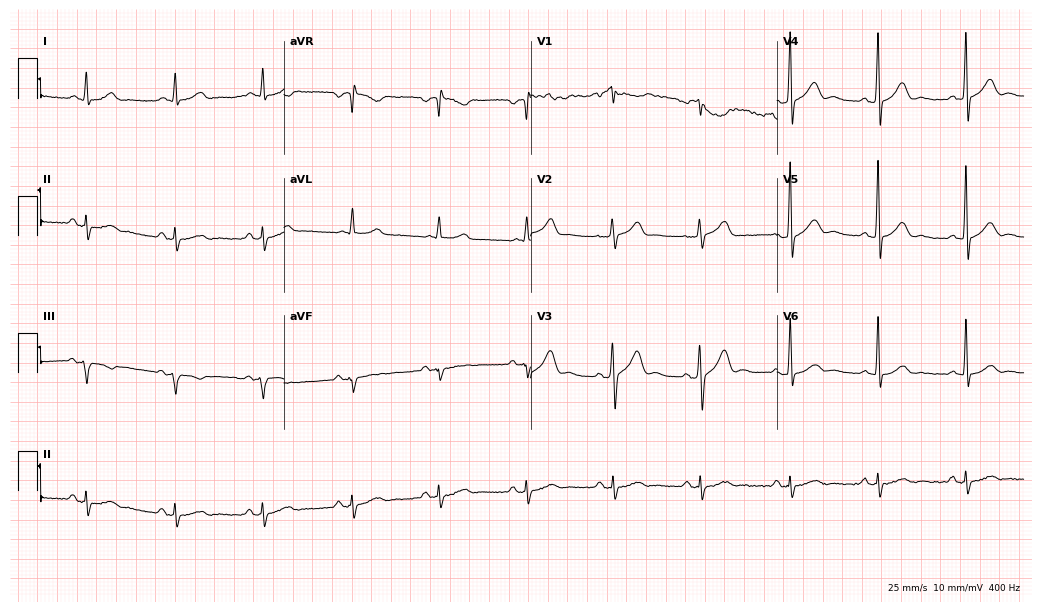
12-lead ECG from a 64-year-old male patient. Screened for six findings — first-degree AV block, right bundle branch block, left bundle branch block, sinus bradycardia, atrial fibrillation, sinus tachycardia — none is recorded.